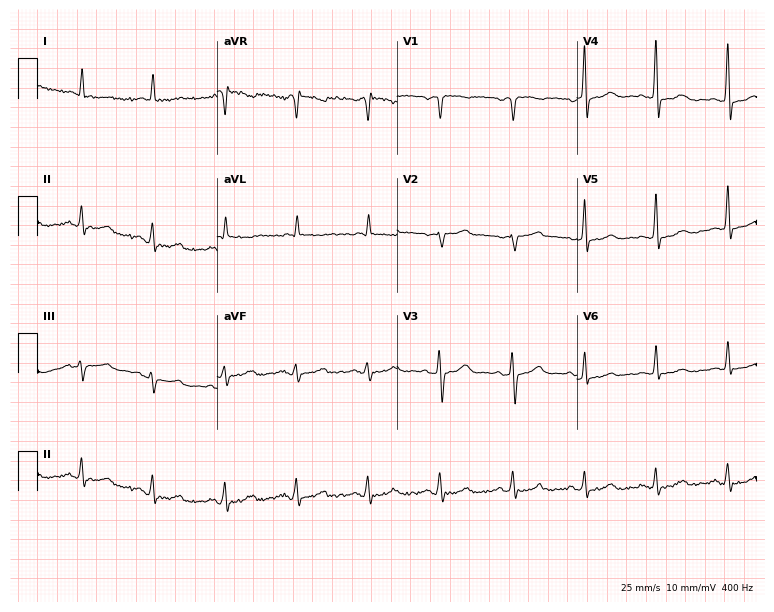
12-lead ECG (7.3-second recording at 400 Hz) from a woman, 61 years old. Screened for six findings — first-degree AV block, right bundle branch block, left bundle branch block, sinus bradycardia, atrial fibrillation, sinus tachycardia — none is recorded. Other findings, if any, are not listed.